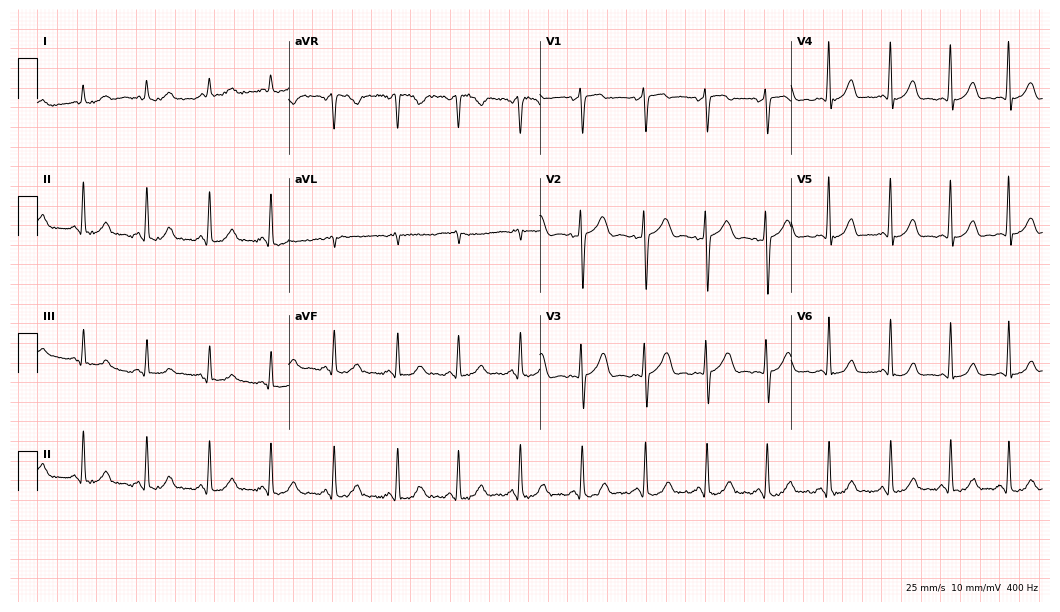
Electrocardiogram (10.2-second recording at 400 Hz), a 39-year-old female patient. Overall reading on record: normal ECG.